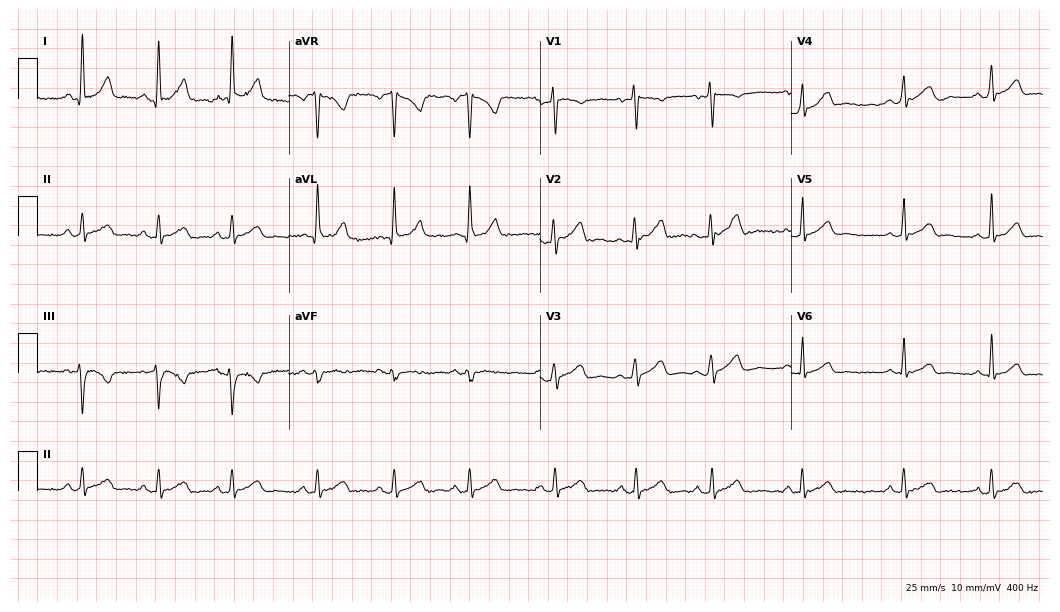
12-lead ECG from a 26-year-old female. Recorded interpretation: within normal limits.